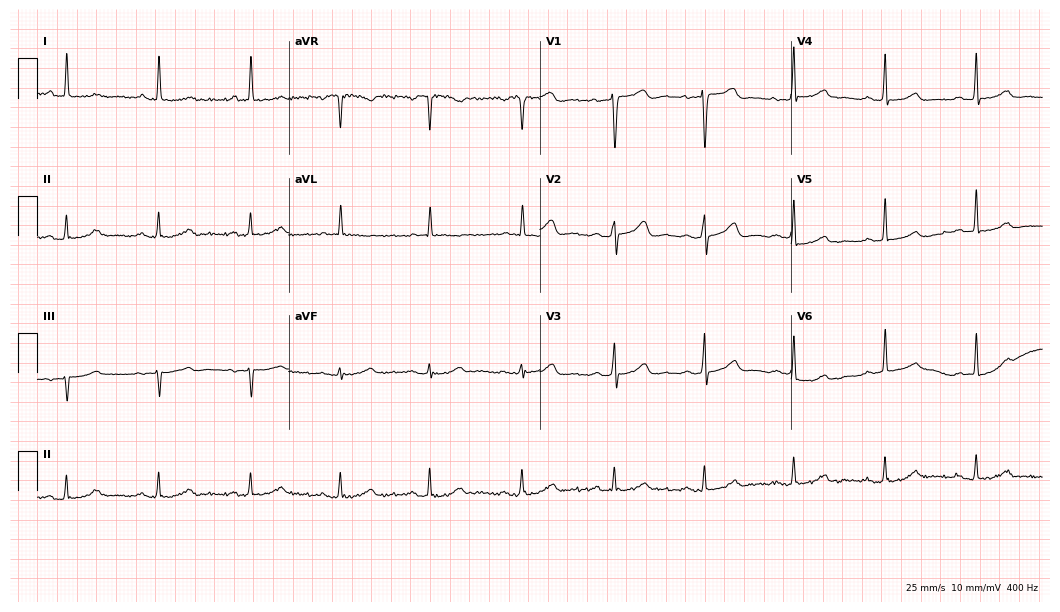
Electrocardiogram, a woman, 71 years old. Overall reading on record: normal ECG.